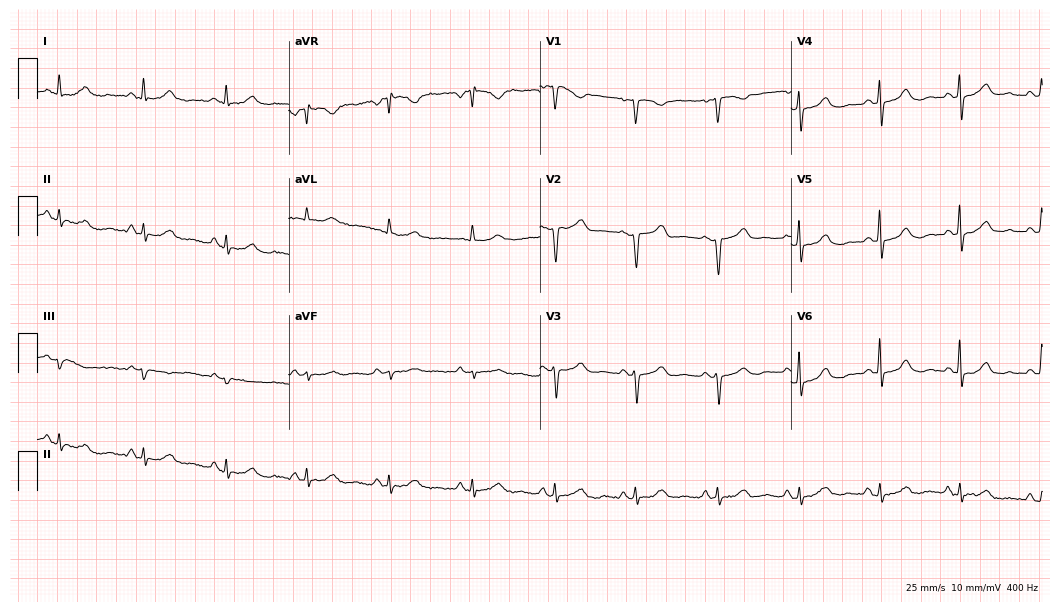
12-lead ECG from a female, 44 years old. Screened for six findings — first-degree AV block, right bundle branch block, left bundle branch block, sinus bradycardia, atrial fibrillation, sinus tachycardia — none is recorded.